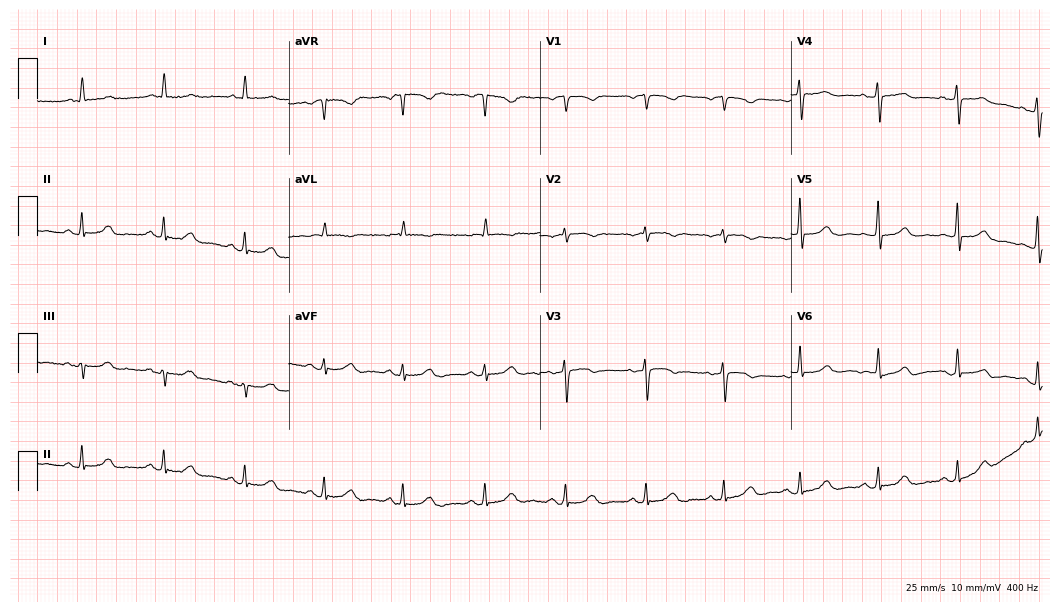
Electrocardiogram, a 67-year-old female patient. Overall reading on record: normal ECG.